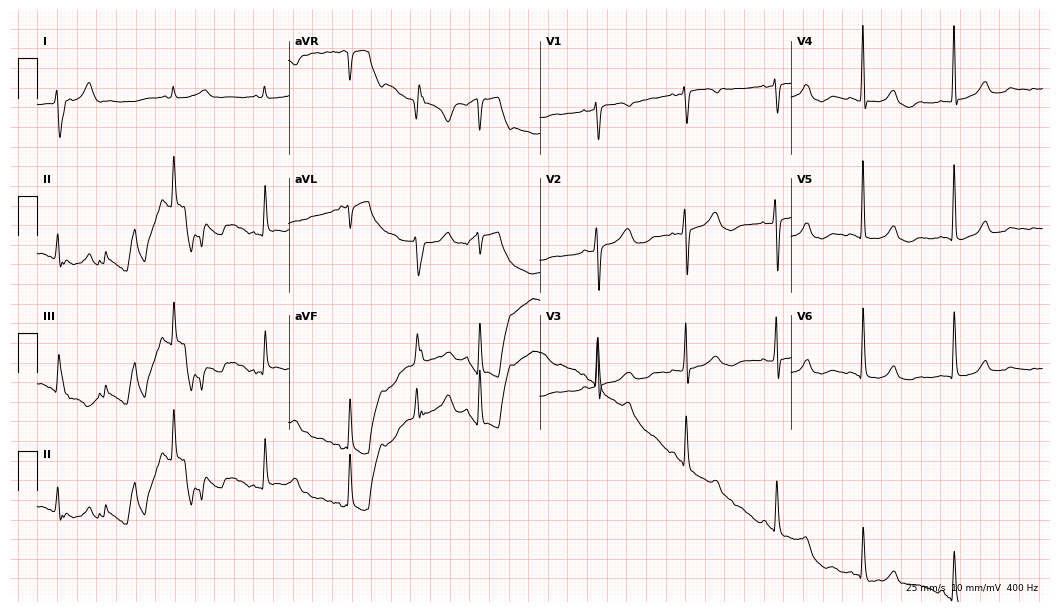
Standard 12-lead ECG recorded from a female, 62 years old. None of these six findings is recorded: first-degree AV block, right bundle branch block, left bundle branch block, sinus bradycardia, atrial fibrillation, sinus tachycardia. Other findings, if any, are not listed.